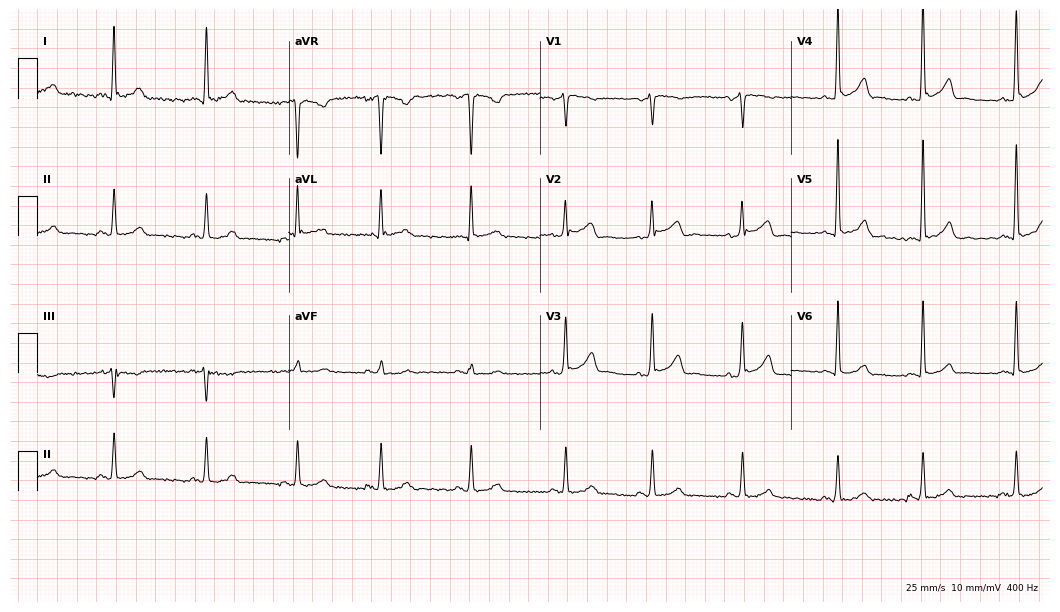
Electrocardiogram (10.2-second recording at 400 Hz), a 34-year-old female. Overall reading on record: normal ECG.